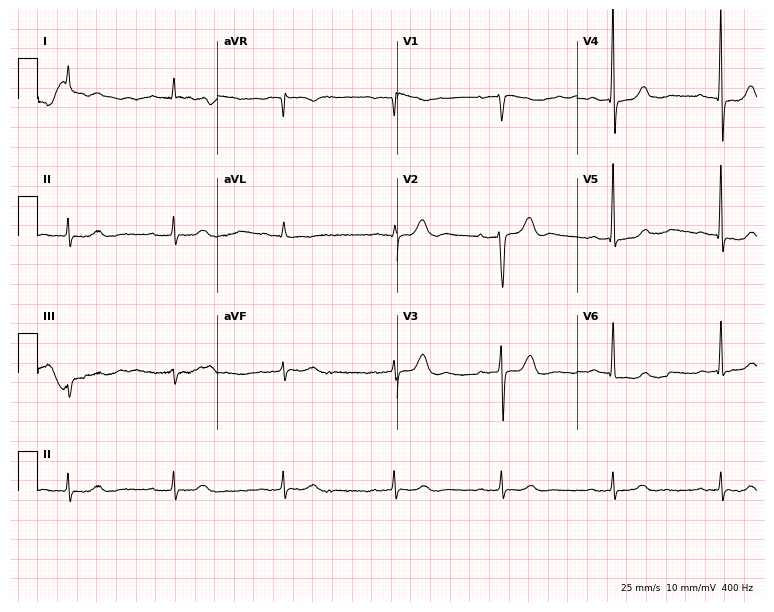
Electrocardiogram (7.3-second recording at 400 Hz), a male patient, 78 years old. Interpretation includes first-degree AV block.